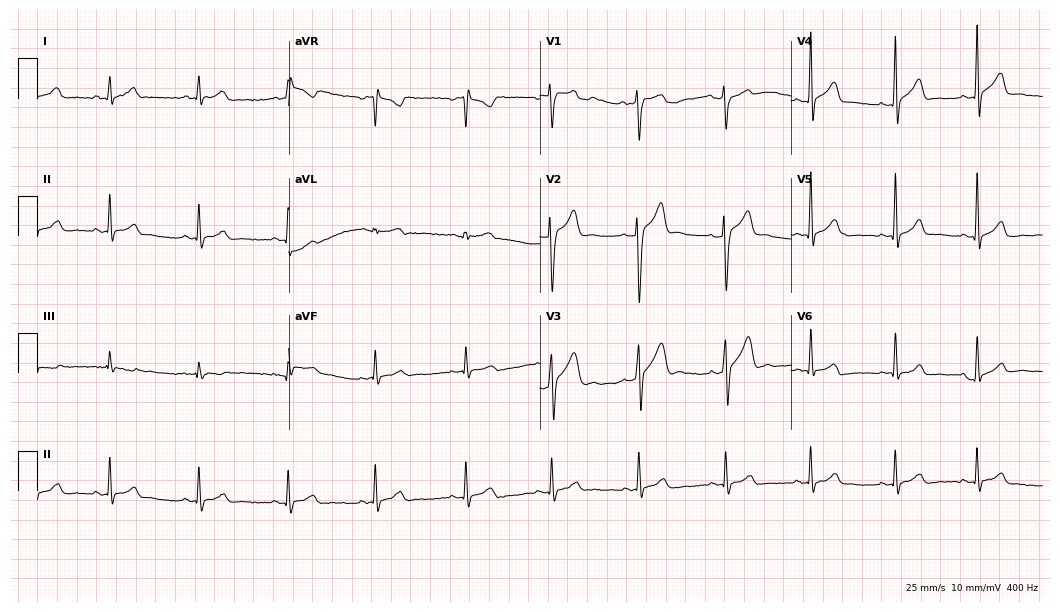
12-lead ECG from a man, 19 years old. Recorded interpretation: within normal limits.